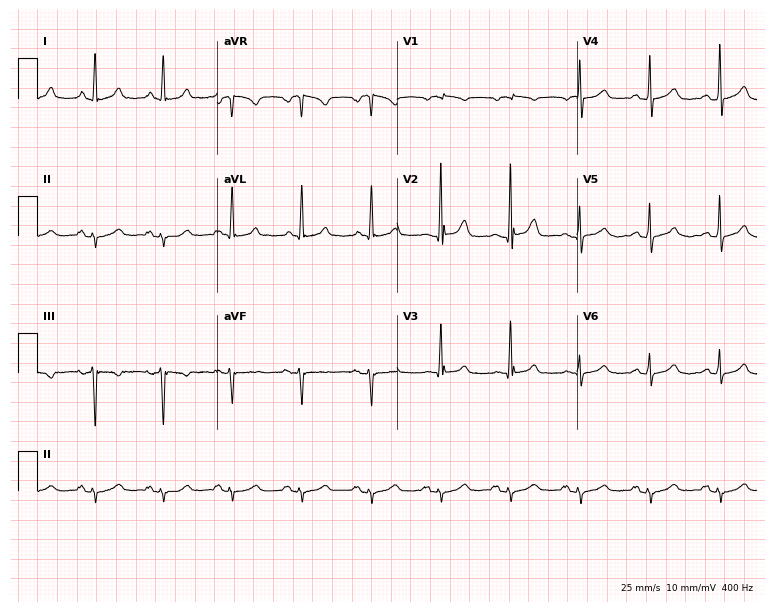
12-lead ECG from a female, 74 years old. Screened for six findings — first-degree AV block, right bundle branch block, left bundle branch block, sinus bradycardia, atrial fibrillation, sinus tachycardia — none is recorded. Other findings, if any, are not listed.